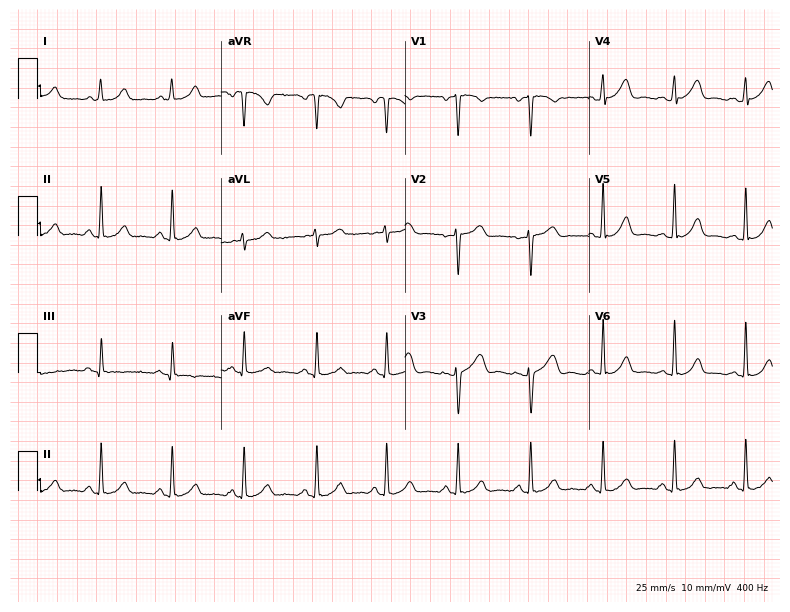
12-lead ECG from a female patient, 32 years old. Labelled as a normal ECG.